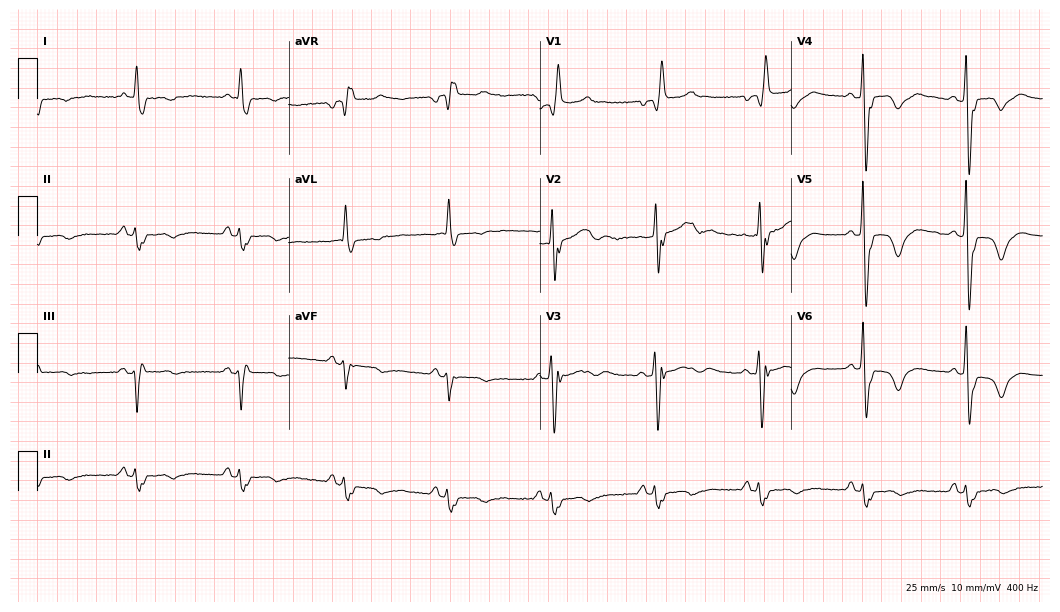
12-lead ECG from a male patient, 75 years old. Findings include right bundle branch block (RBBB).